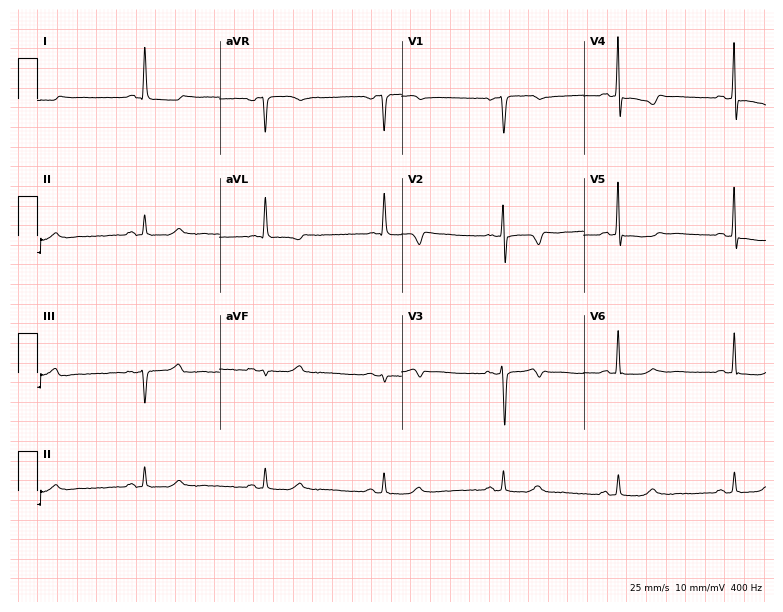
ECG (7.4-second recording at 400 Hz) — a 64-year-old female. Screened for six findings — first-degree AV block, right bundle branch block, left bundle branch block, sinus bradycardia, atrial fibrillation, sinus tachycardia — none is recorded.